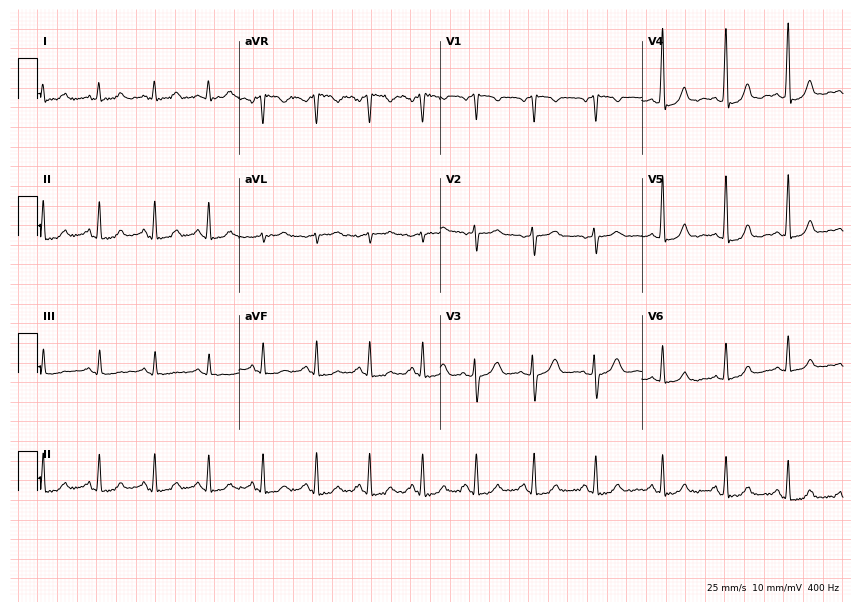
12-lead ECG from a woman, 43 years old. Labelled as a normal ECG.